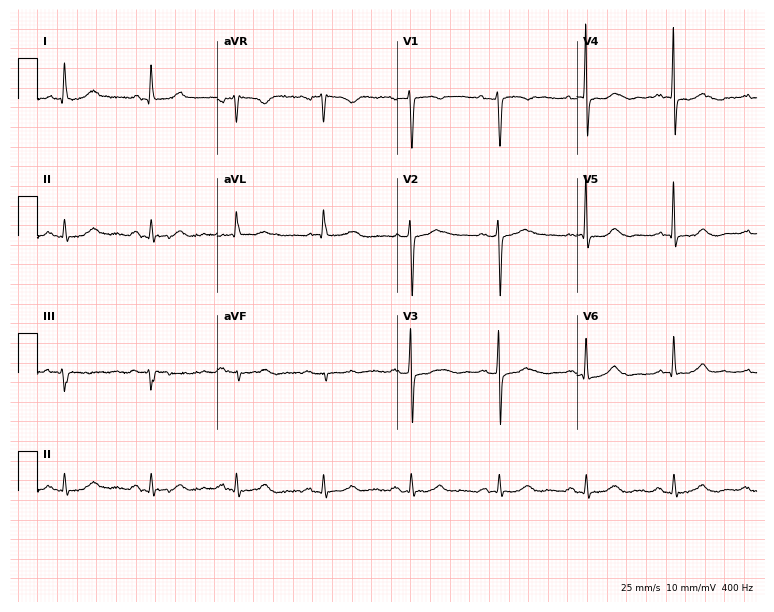
12-lead ECG (7.3-second recording at 400 Hz) from a female, 62 years old. Screened for six findings — first-degree AV block, right bundle branch block, left bundle branch block, sinus bradycardia, atrial fibrillation, sinus tachycardia — none is recorded.